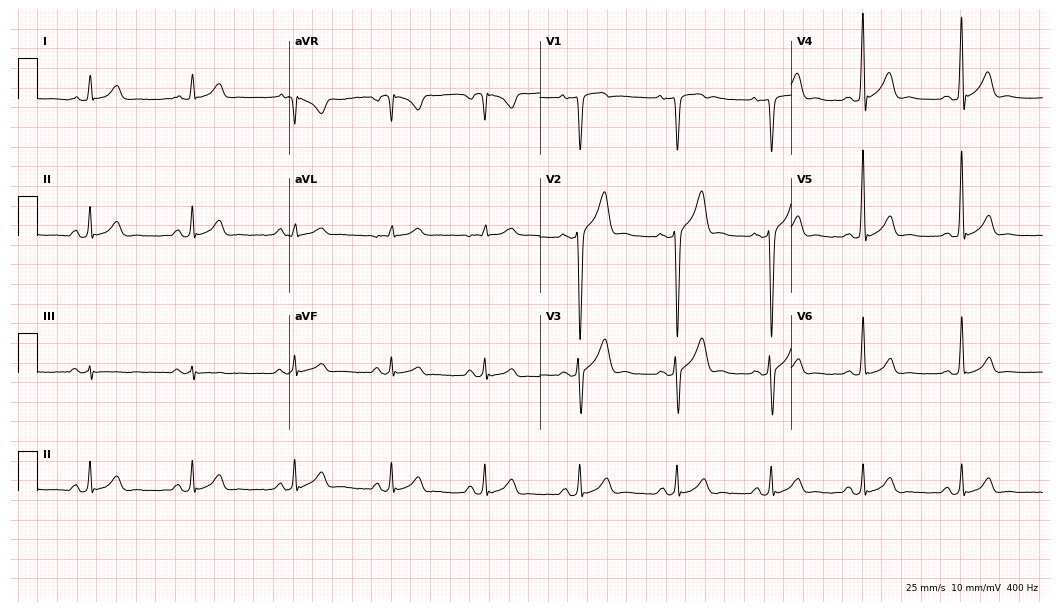
12-lead ECG (10.2-second recording at 400 Hz) from a male, 25 years old. Labelled as a normal ECG.